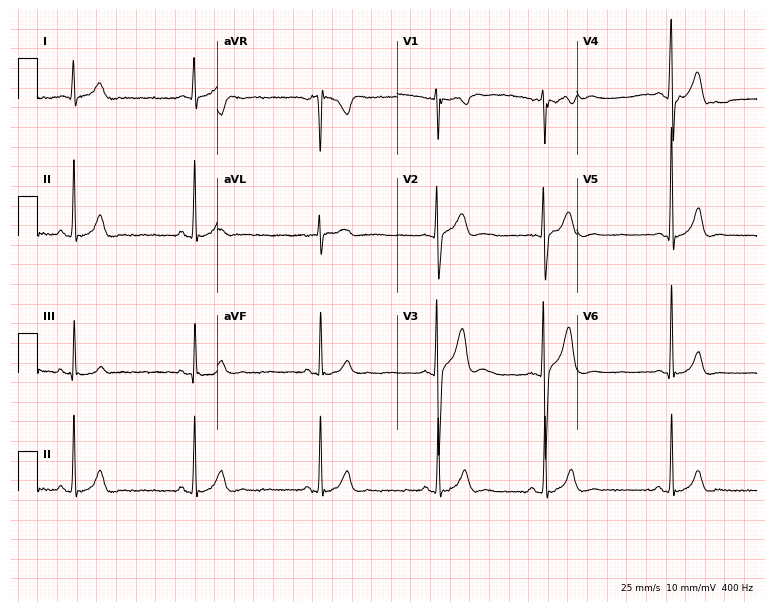
Resting 12-lead electrocardiogram (7.3-second recording at 400 Hz). Patient: a man, 21 years old. None of these six findings is recorded: first-degree AV block, right bundle branch block, left bundle branch block, sinus bradycardia, atrial fibrillation, sinus tachycardia. Only these six findings were labelled.